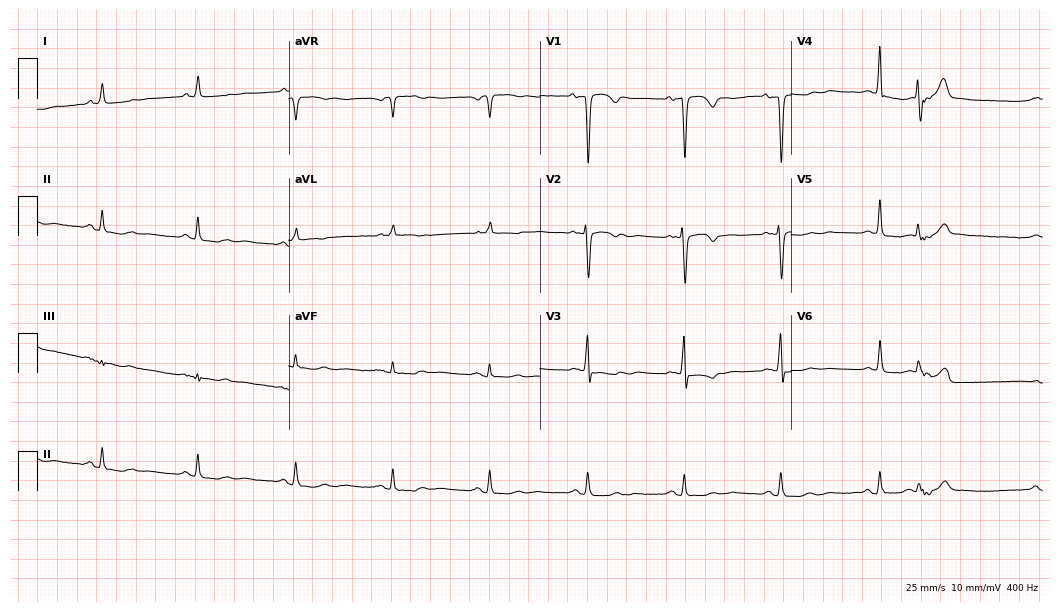
12-lead ECG (10.2-second recording at 400 Hz) from a woman, 77 years old. Screened for six findings — first-degree AV block, right bundle branch block, left bundle branch block, sinus bradycardia, atrial fibrillation, sinus tachycardia — none is recorded.